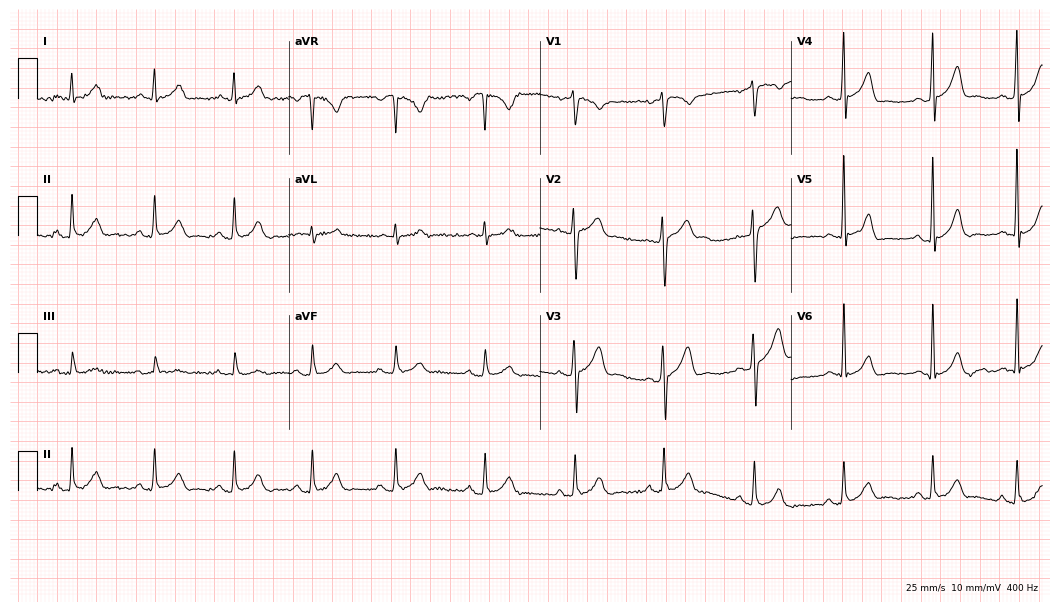
ECG (10.2-second recording at 400 Hz) — a male, 41 years old. Labelled as a normal ECG.